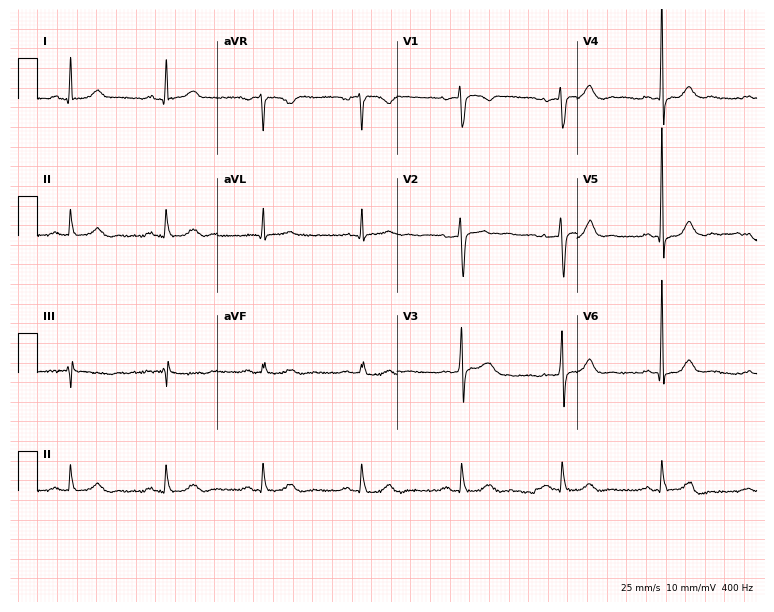
12-lead ECG from a 58-year-old woman (7.3-second recording at 400 Hz). No first-degree AV block, right bundle branch block, left bundle branch block, sinus bradycardia, atrial fibrillation or sinus tachycardia recorded for this tracing. Only these six findings were labelled.